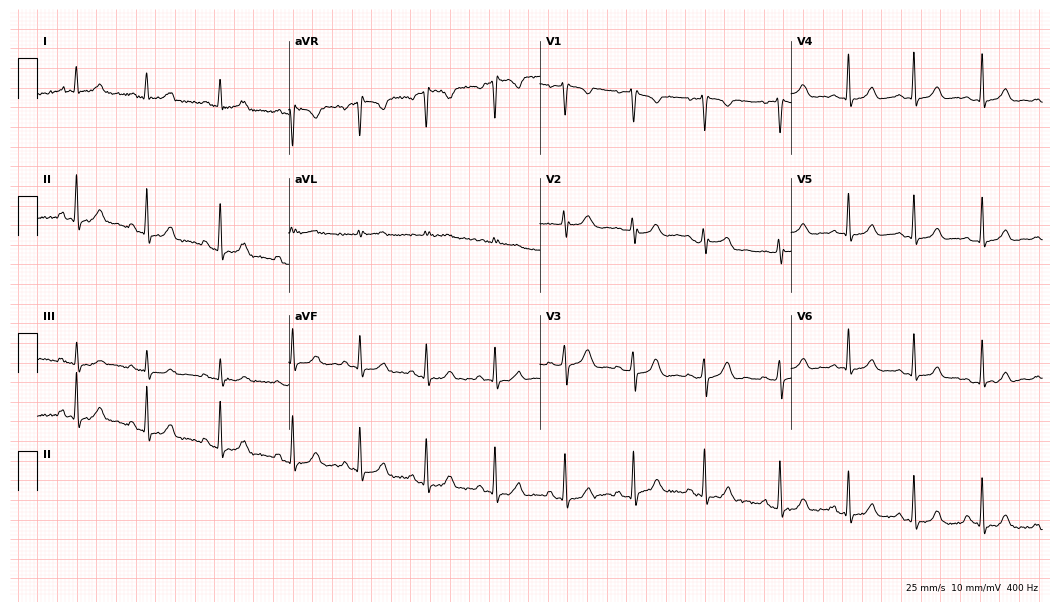
Resting 12-lead electrocardiogram (10.2-second recording at 400 Hz). Patient: a woman, 21 years old. None of these six findings is recorded: first-degree AV block, right bundle branch block, left bundle branch block, sinus bradycardia, atrial fibrillation, sinus tachycardia.